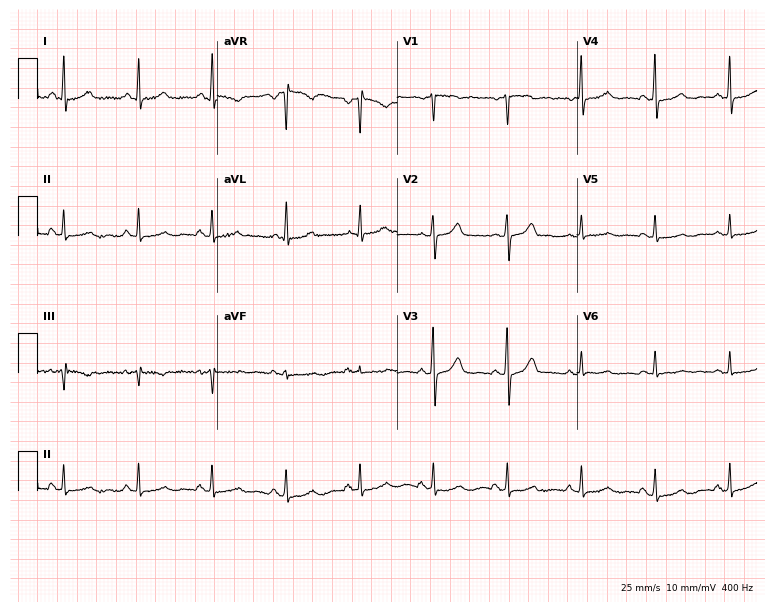
Electrocardiogram (7.3-second recording at 400 Hz), a 55-year-old female patient. Of the six screened findings (first-degree AV block, right bundle branch block (RBBB), left bundle branch block (LBBB), sinus bradycardia, atrial fibrillation (AF), sinus tachycardia), none is recorded. Findings outside these six are not listed.